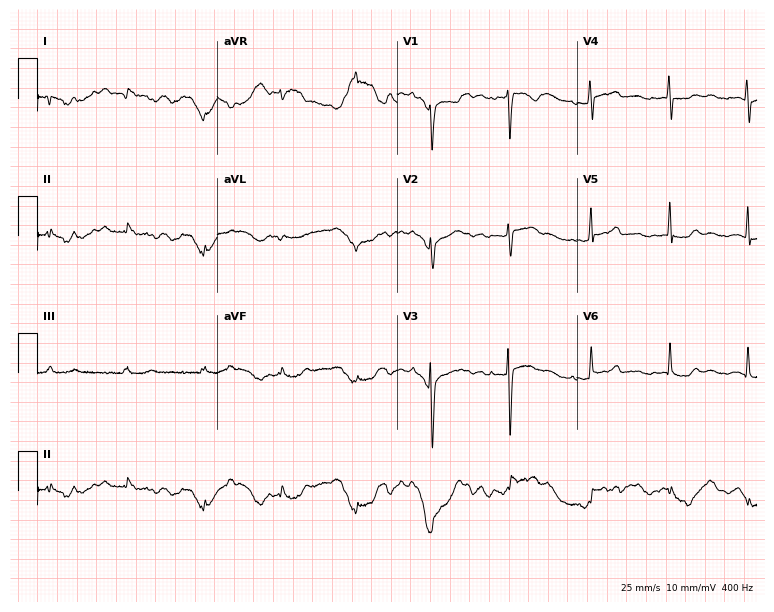
ECG (7.3-second recording at 400 Hz) — a female, 38 years old. Labelled as a normal ECG.